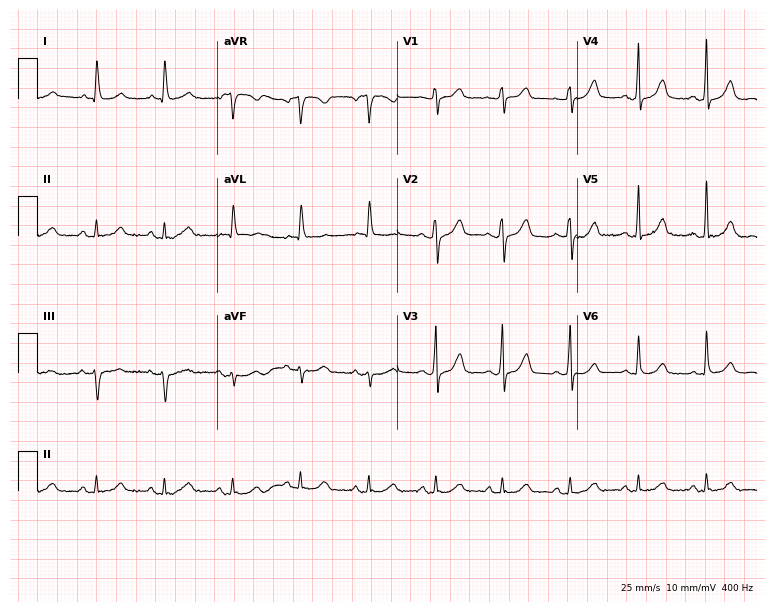
12-lead ECG (7.3-second recording at 400 Hz) from a 68-year-old woman. Labelled as a normal ECG.